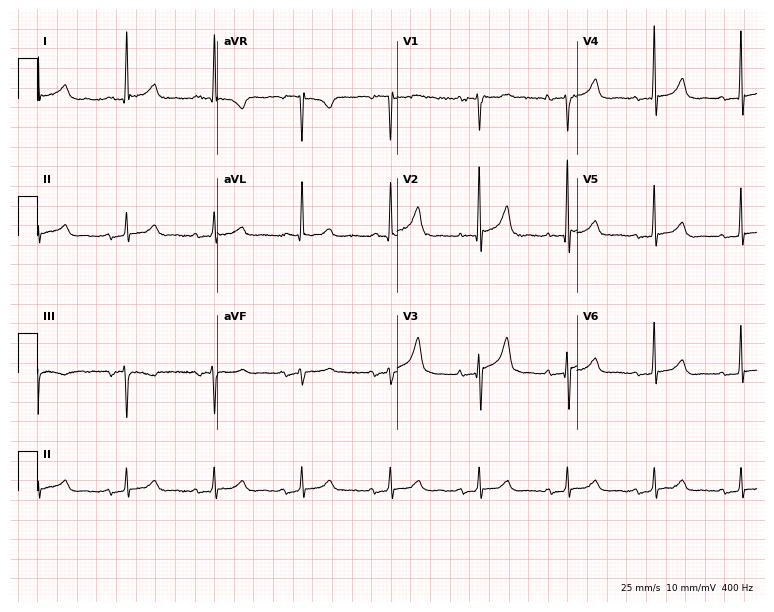
12-lead ECG from a 79-year-old female. Labelled as a normal ECG.